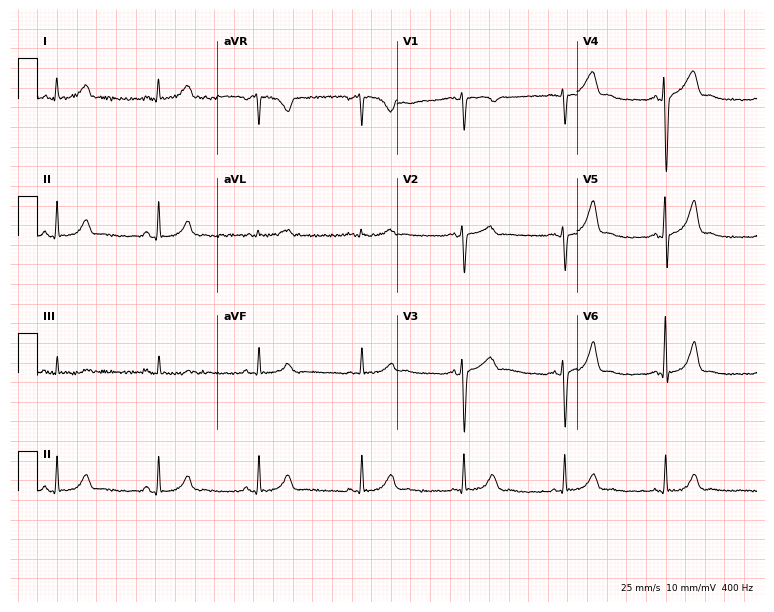
Electrocardiogram, a 41-year-old woman. Overall reading on record: normal ECG.